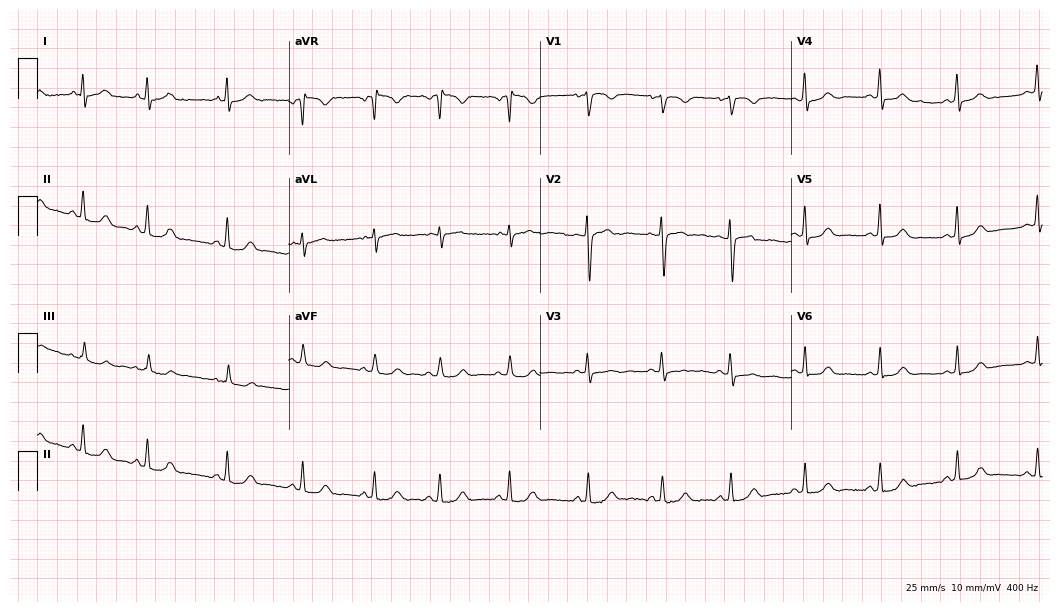
Standard 12-lead ECG recorded from a 21-year-old woman. Read as a normal ECG.